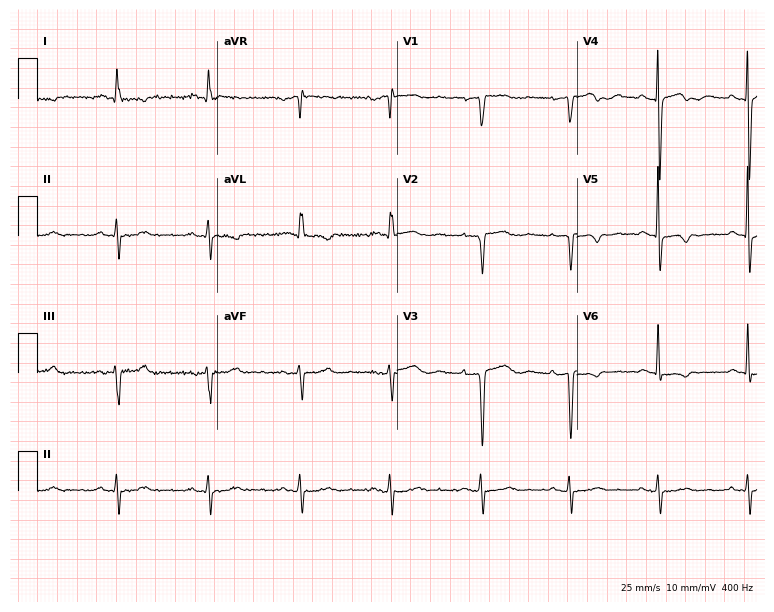
Standard 12-lead ECG recorded from a 77-year-old female patient. None of these six findings is recorded: first-degree AV block, right bundle branch block (RBBB), left bundle branch block (LBBB), sinus bradycardia, atrial fibrillation (AF), sinus tachycardia.